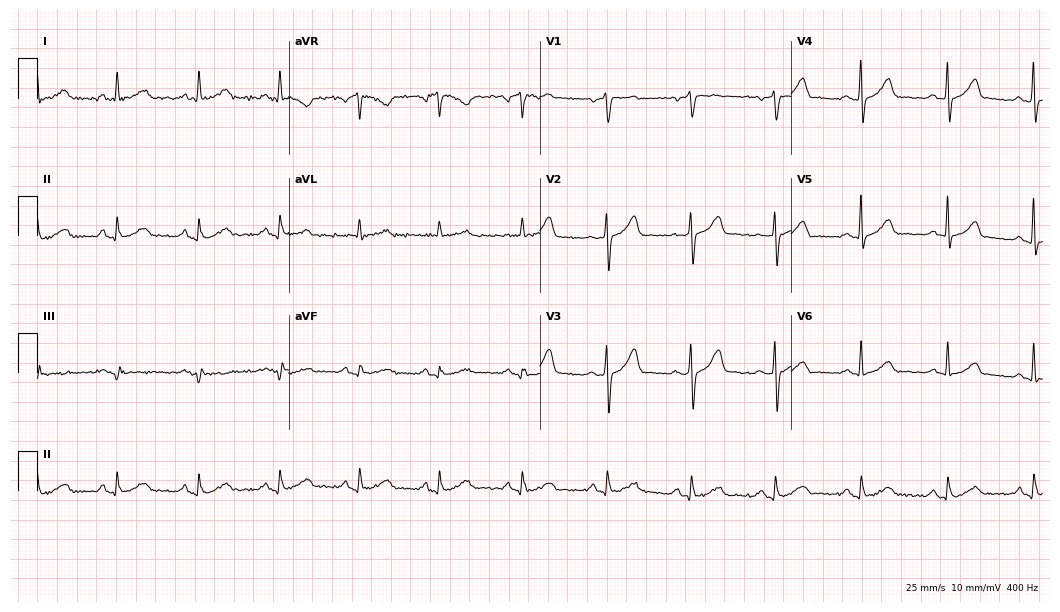
ECG (10.2-second recording at 400 Hz) — a man, 66 years old. Labelled as a normal ECG.